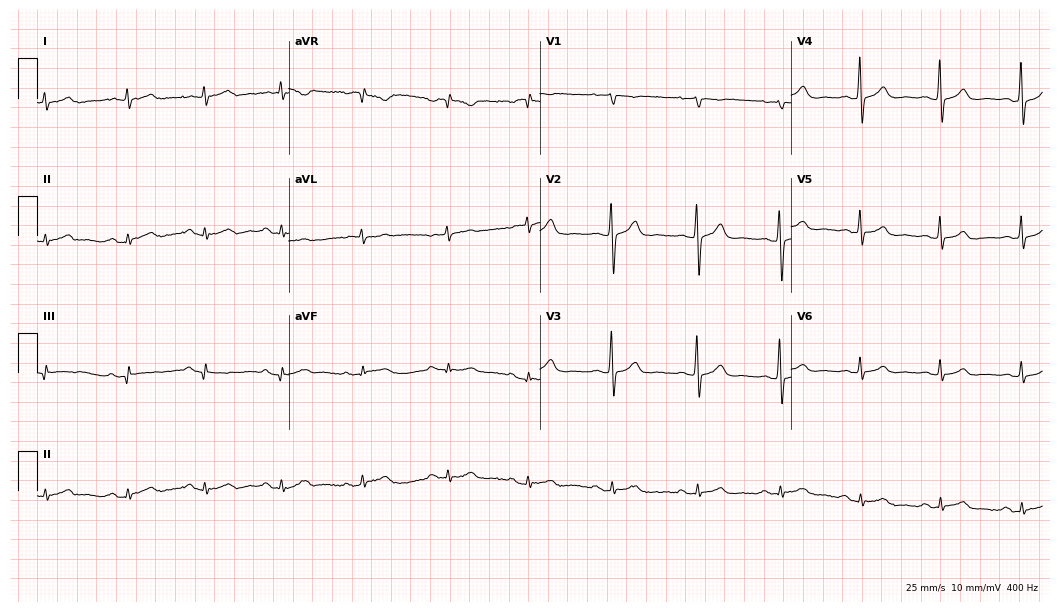
Standard 12-lead ECG recorded from a 40-year-old female. Read as a normal ECG.